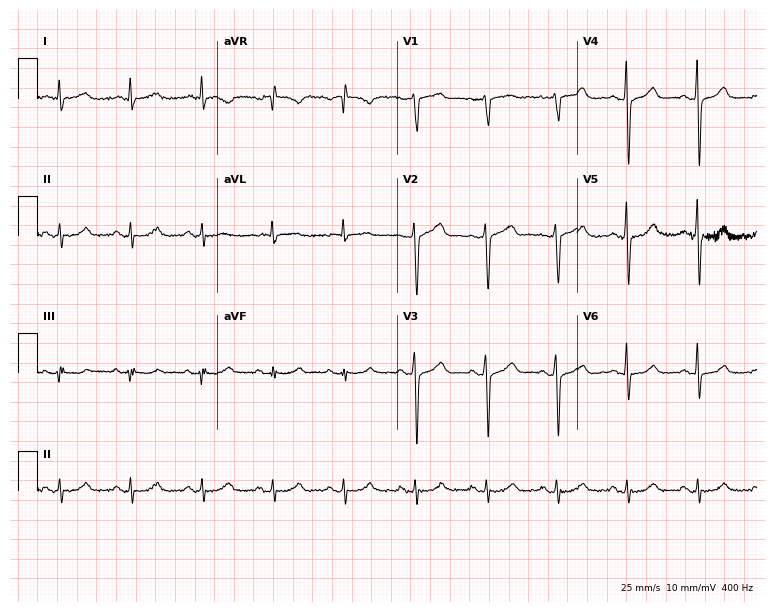
ECG (7.3-second recording at 400 Hz) — a man, 57 years old. Screened for six findings — first-degree AV block, right bundle branch block, left bundle branch block, sinus bradycardia, atrial fibrillation, sinus tachycardia — none is recorded. Only these six findings were labelled.